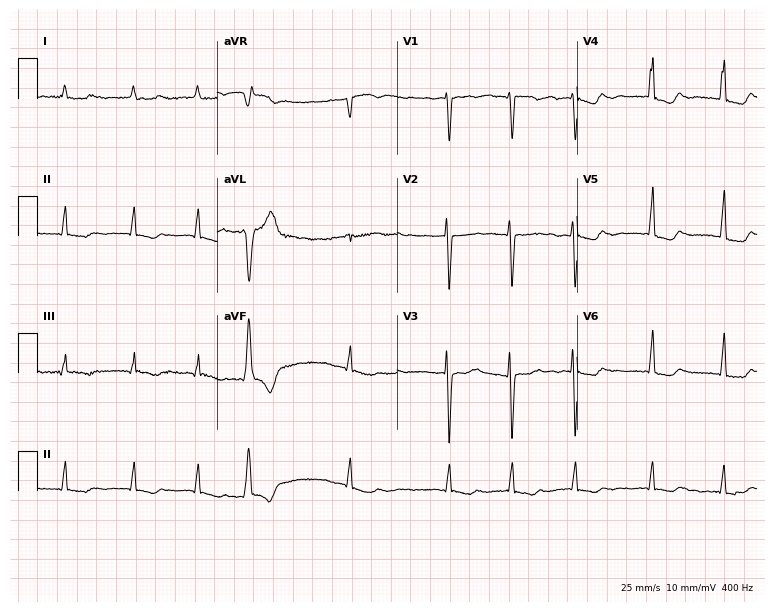
12-lead ECG from a 50-year-old woman (7.3-second recording at 400 Hz). Shows atrial fibrillation.